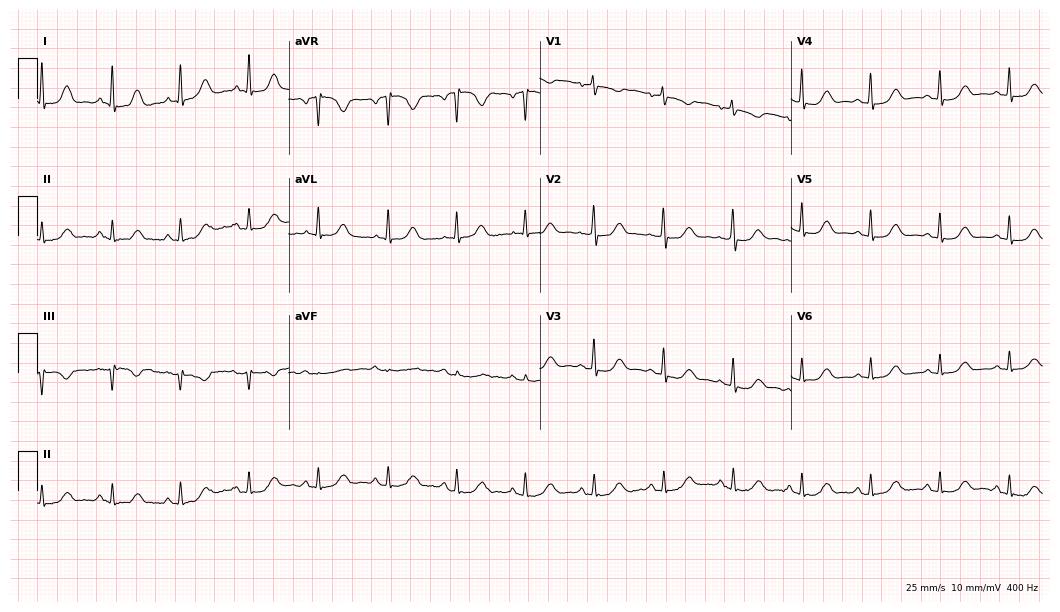
Standard 12-lead ECG recorded from a female, 76 years old. Read as a normal ECG.